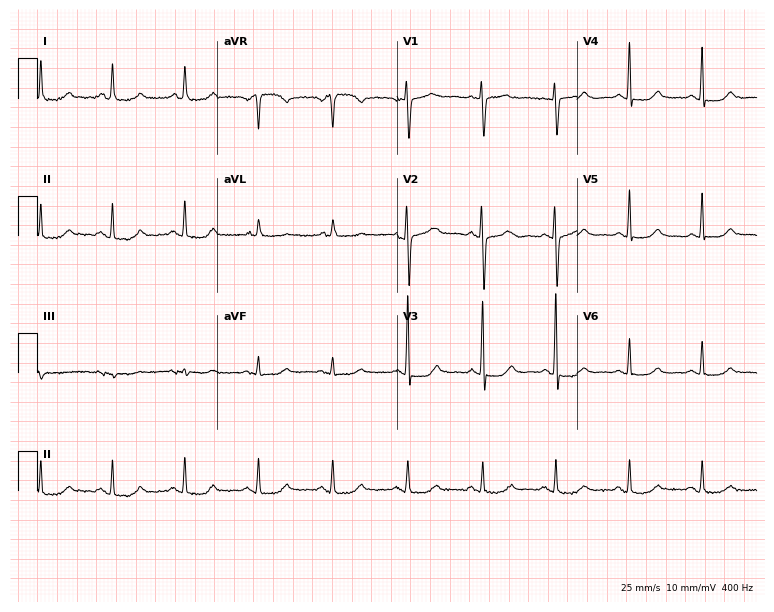
Resting 12-lead electrocardiogram. Patient: a female, 77 years old. None of these six findings is recorded: first-degree AV block, right bundle branch block (RBBB), left bundle branch block (LBBB), sinus bradycardia, atrial fibrillation (AF), sinus tachycardia. Other findings, if any, are not listed.